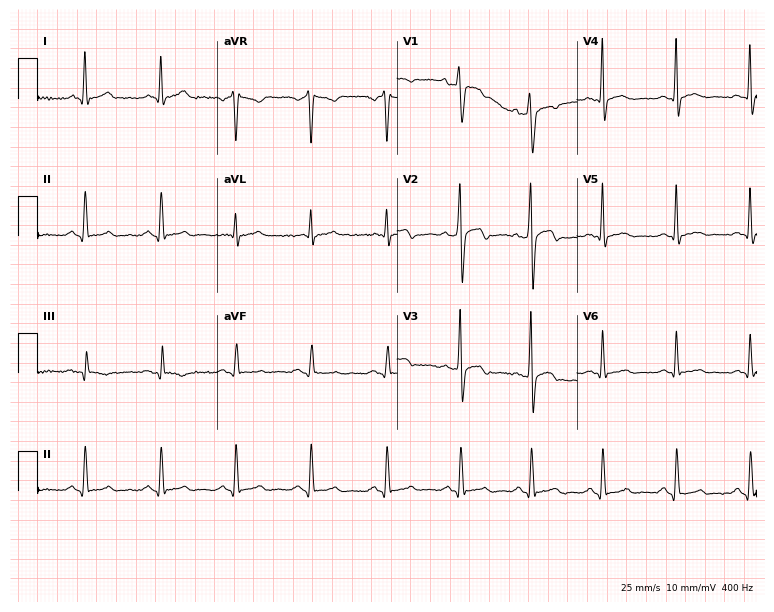
Resting 12-lead electrocardiogram. Patient: a 31-year-old man. None of these six findings is recorded: first-degree AV block, right bundle branch block, left bundle branch block, sinus bradycardia, atrial fibrillation, sinus tachycardia. Other findings, if any, are not listed.